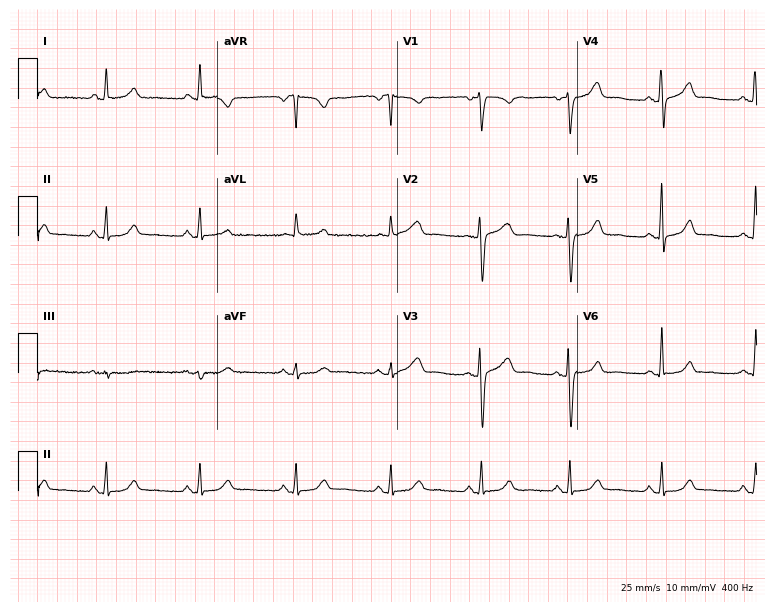
Resting 12-lead electrocardiogram. Patient: a 48-year-old female. Read as a normal ECG.